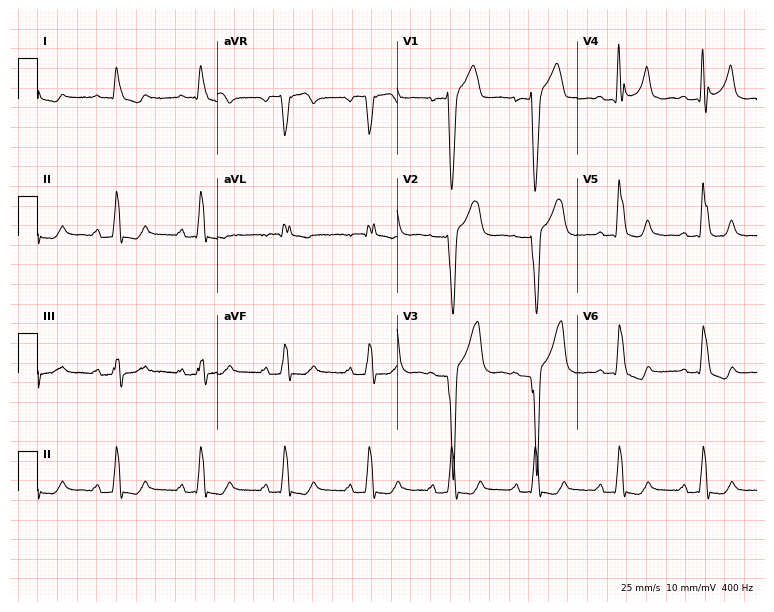
Standard 12-lead ECG recorded from a female, 50 years old (7.3-second recording at 400 Hz). The tracing shows left bundle branch block.